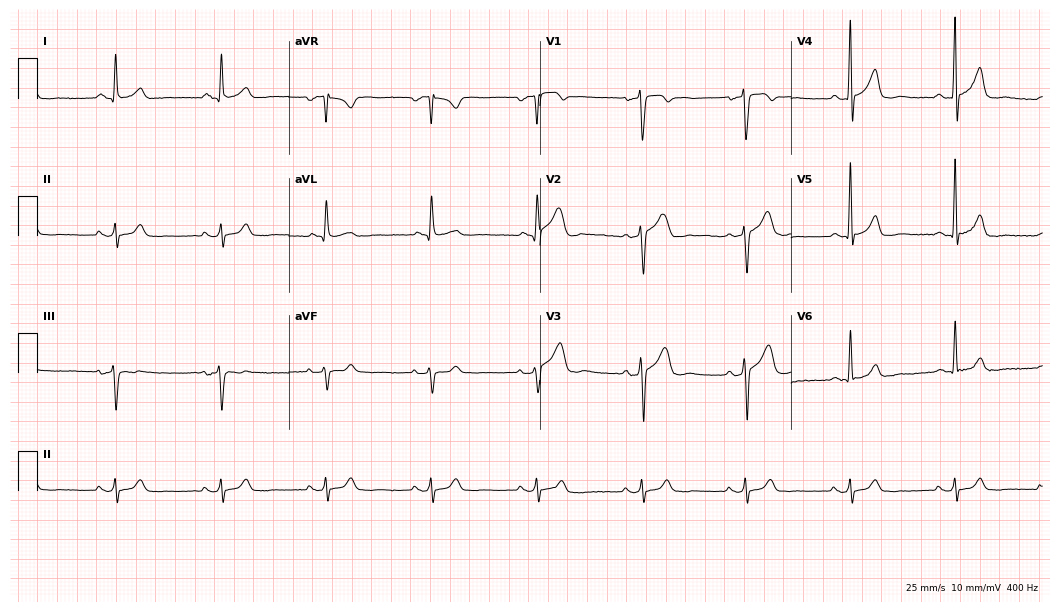
Standard 12-lead ECG recorded from a 65-year-old male patient. Read as a normal ECG.